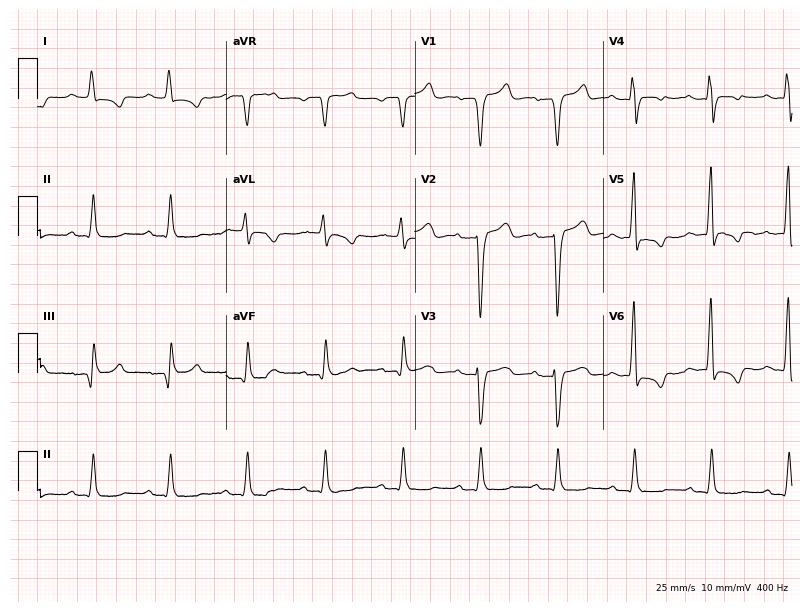
Resting 12-lead electrocardiogram (7.7-second recording at 400 Hz). Patient: a 66-year-old male. None of these six findings is recorded: first-degree AV block, right bundle branch block, left bundle branch block, sinus bradycardia, atrial fibrillation, sinus tachycardia. Only these six findings were labelled.